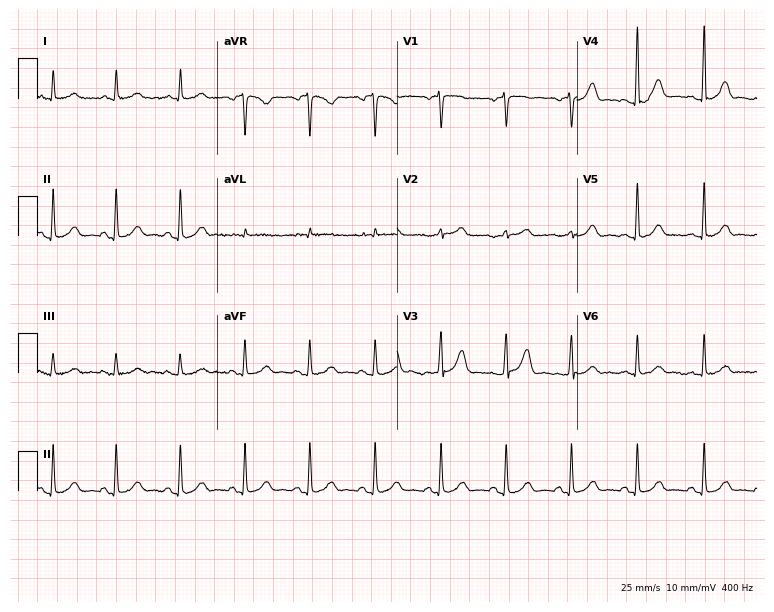
Resting 12-lead electrocardiogram. Patient: a female, 57 years old. Read as a normal ECG.